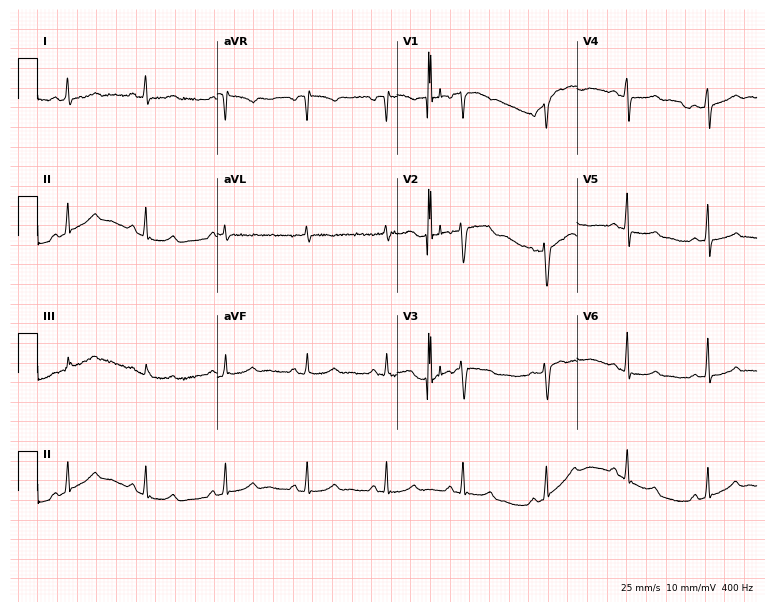
Resting 12-lead electrocardiogram (7.3-second recording at 400 Hz). Patient: a female, 52 years old. Read as a normal ECG.